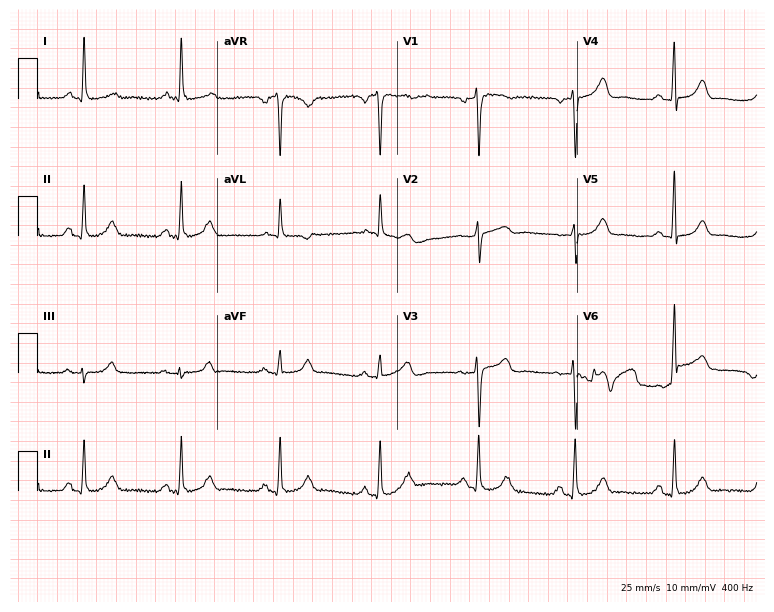
12-lead ECG from a 65-year-old female. No first-degree AV block, right bundle branch block, left bundle branch block, sinus bradycardia, atrial fibrillation or sinus tachycardia recorded for this tracing. Findings outside these six are not listed.